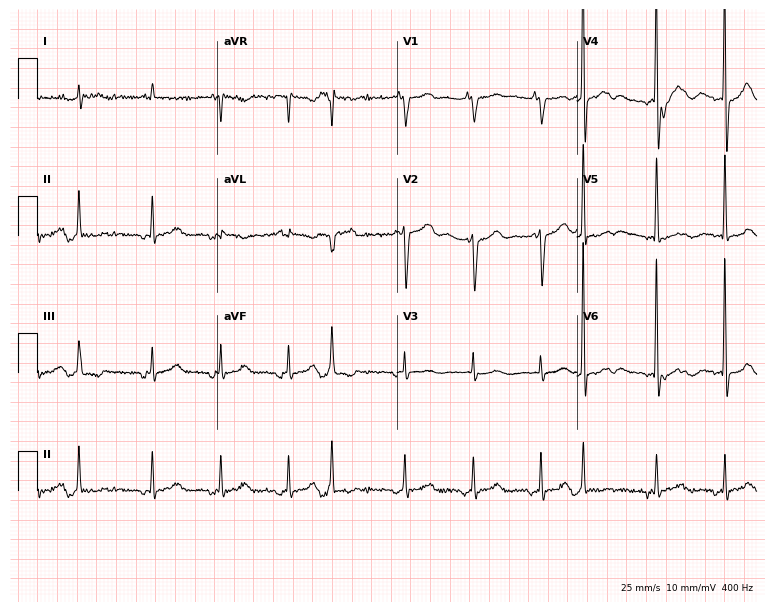
Resting 12-lead electrocardiogram (7.3-second recording at 400 Hz). Patient: an 80-year-old female. None of these six findings is recorded: first-degree AV block, right bundle branch block, left bundle branch block, sinus bradycardia, atrial fibrillation, sinus tachycardia. Other findings, if any, are not listed.